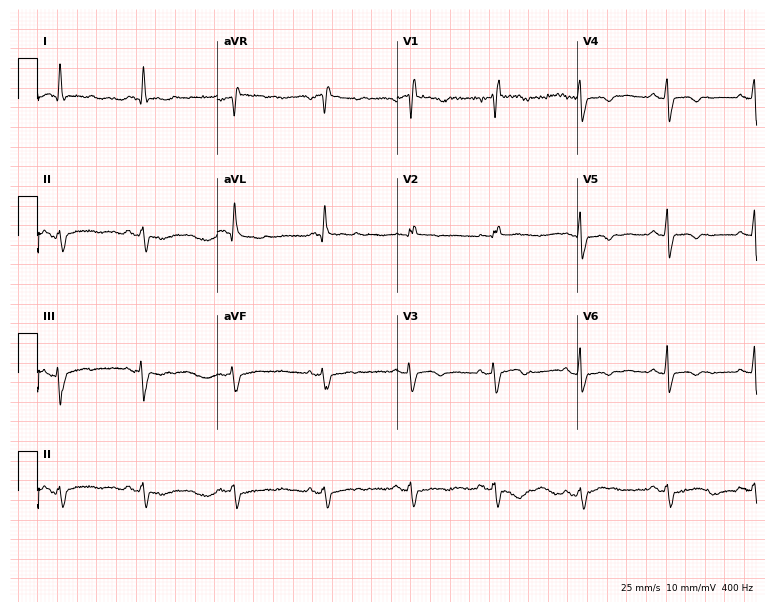
Resting 12-lead electrocardiogram. Patient: a female, 72 years old. None of these six findings is recorded: first-degree AV block, right bundle branch block, left bundle branch block, sinus bradycardia, atrial fibrillation, sinus tachycardia.